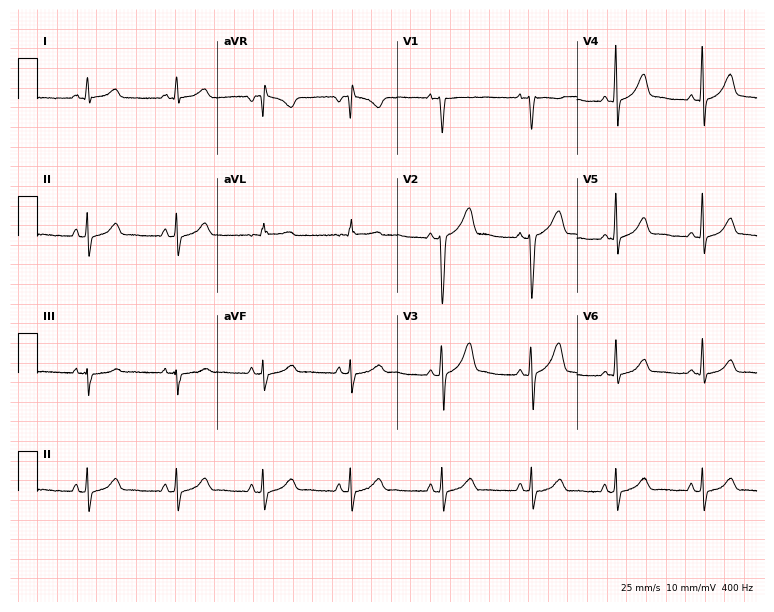
ECG (7.3-second recording at 400 Hz) — a woman, 33 years old. Screened for six findings — first-degree AV block, right bundle branch block, left bundle branch block, sinus bradycardia, atrial fibrillation, sinus tachycardia — none is recorded. Only these six findings were labelled.